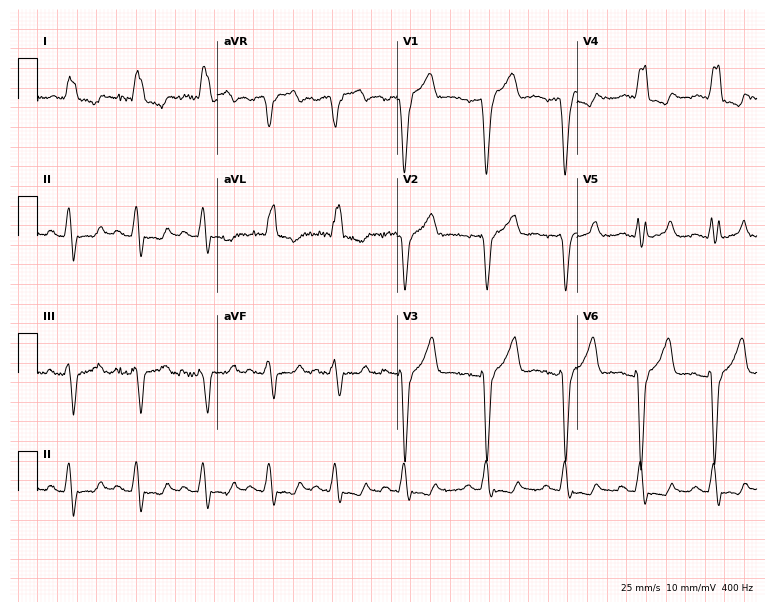
12-lead ECG from an 81-year-old male patient. No first-degree AV block, right bundle branch block, left bundle branch block, sinus bradycardia, atrial fibrillation or sinus tachycardia recorded for this tracing.